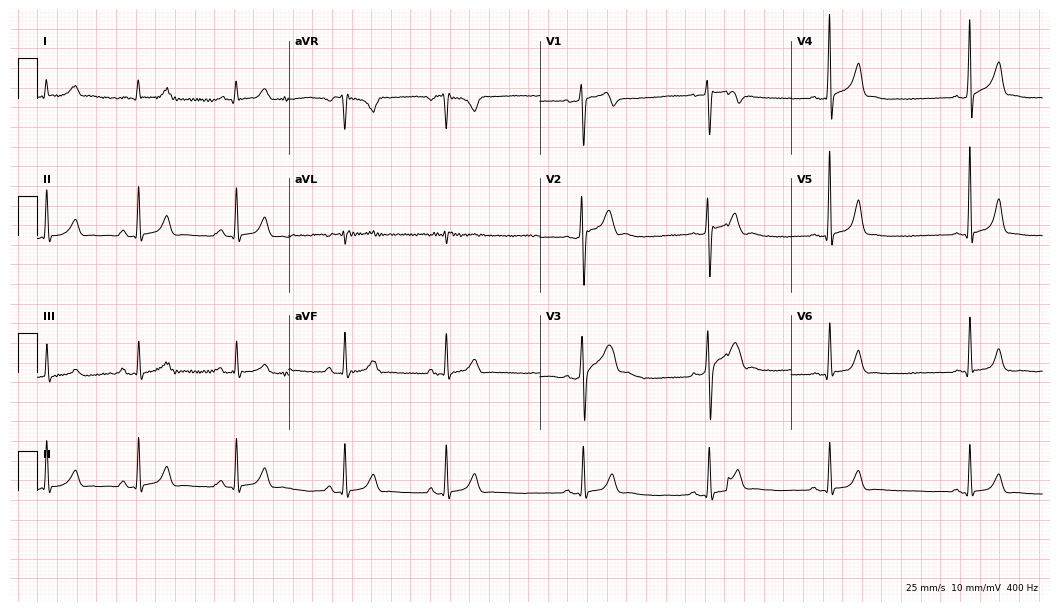
Standard 12-lead ECG recorded from a 23-year-old male patient (10.2-second recording at 400 Hz). Read as a normal ECG.